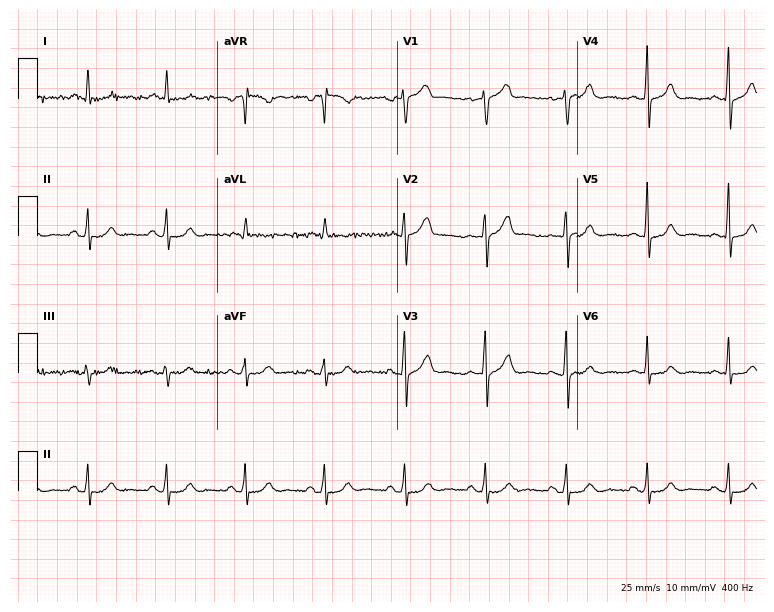
ECG (7.3-second recording at 400 Hz) — a man, 77 years old. Labelled as a normal ECG.